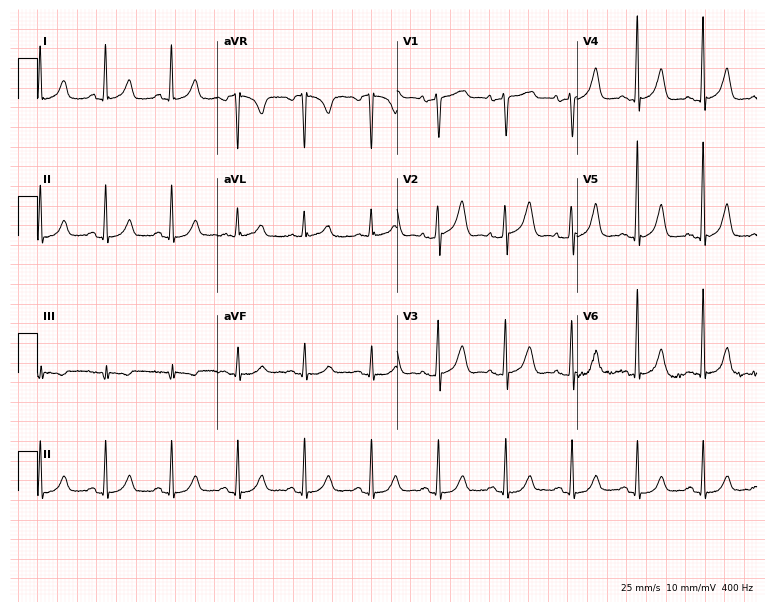
Resting 12-lead electrocardiogram. Patient: a female, 61 years old. Read as a normal ECG.